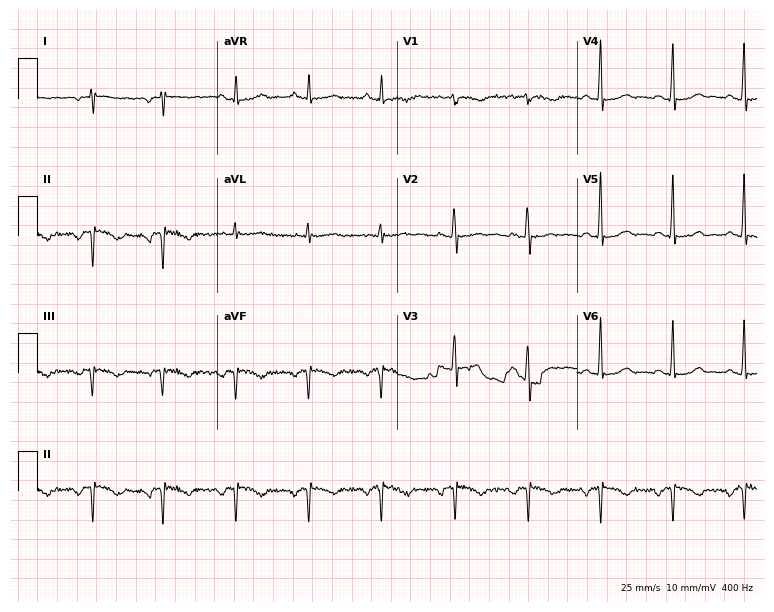
12-lead ECG from a female, 56 years old (7.3-second recording at 400 Hz). No first-degree AV block, right bundle branch block, left bundle branch block, sinus bradycardia, atrial fibrillation or sinus tachycardia recorded for this tracing.